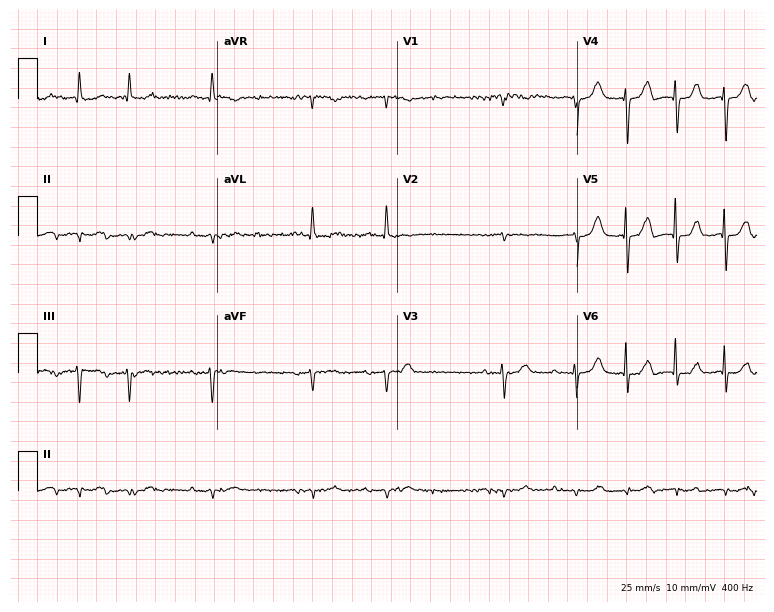
12-lead ECG from an 84-year-old woman (7.3-second recording at 400 Hz). No first-degree AV block, right bundle branch block (RBBB), left bundle branch block (LBBB), sinus bradycardia, atrial fibrillation (AF) or sinus tachycardia recorded for this tracing. Only these six findings were labelled.